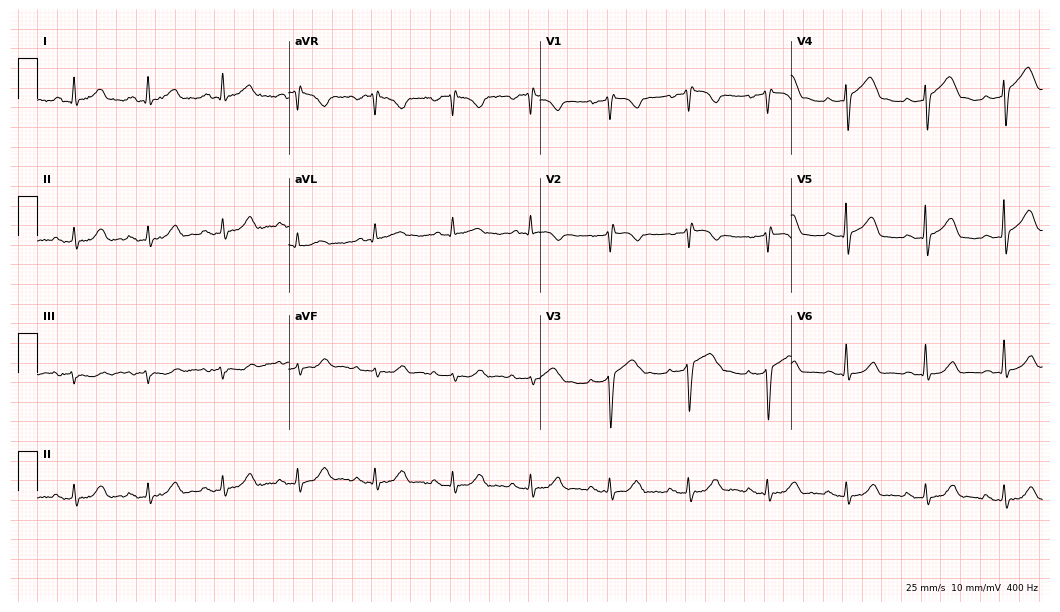
Electrocardiogram (10.2-second recording at 400 Hz), a male patient, 74 years old. Overall reading on record: normal ECG.